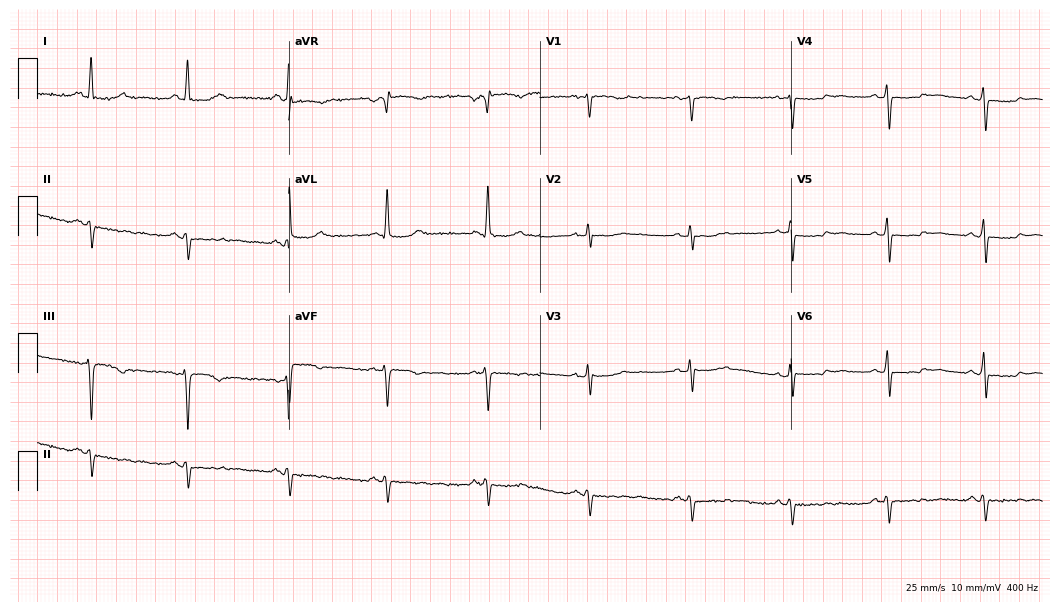
Resting 12-lead electrocardiogram (10.2-second recording at 400 Hz). Patient: a 48-year-old female. None of these six findings is recorded: first-degree AV block, right bundle branch block (RBBB), left bundle branch block (LBBB), sinus bradycardia, atrial fibrillation (AF), sinus tachycardia. Only these six findings were labelled.